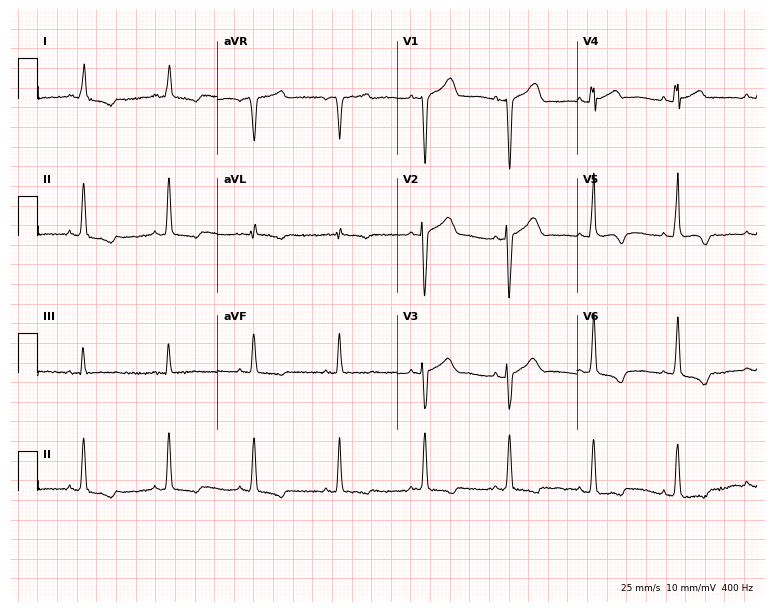
ECG (7.3-second recording at 400 Hz) — a male patient, 76 years old. Screened for six findings — first-degree AV block, right bundle branch block, left bundle branch block, sinus bradycardia, atrial fibrillation, sinus tachycardia — none is recorded. Other findings, if any, are not listed.